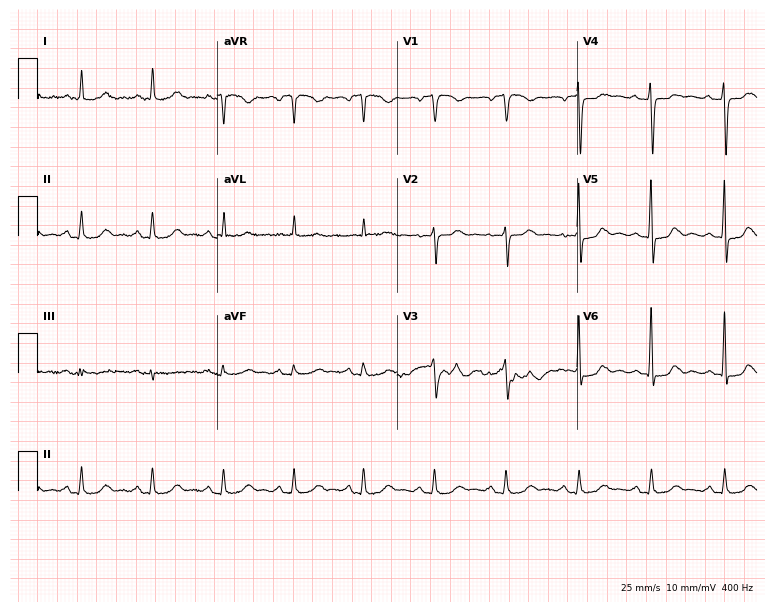
12-lead ECG (7.3-second recording at 400 Hz) from a 64-year-old woman. Labelled as a normal ECG.